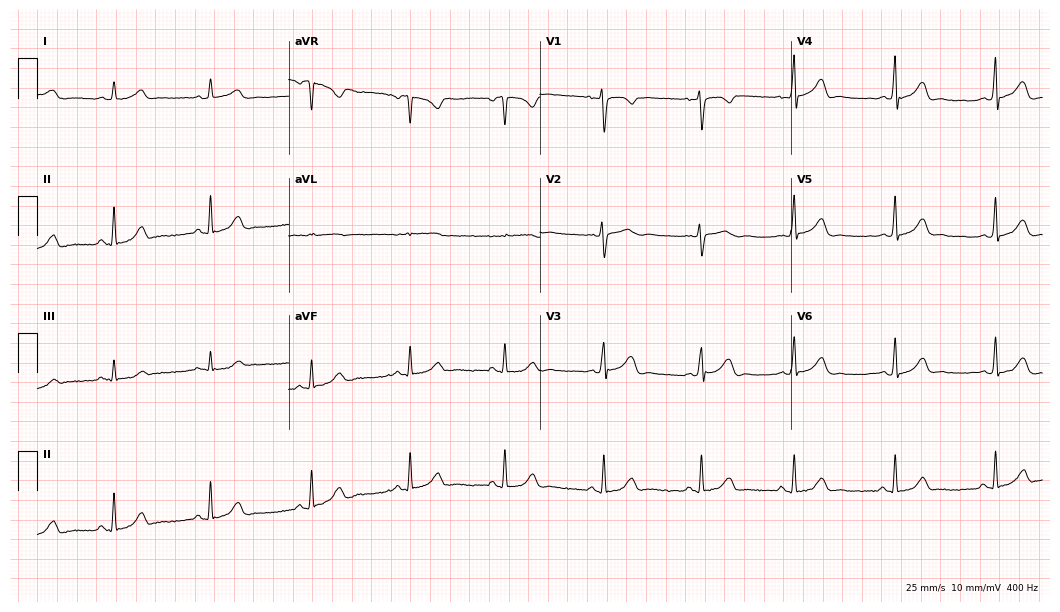
Electrocardiogram, a woman, 23 years old. Overall reading on record: normal ECG.